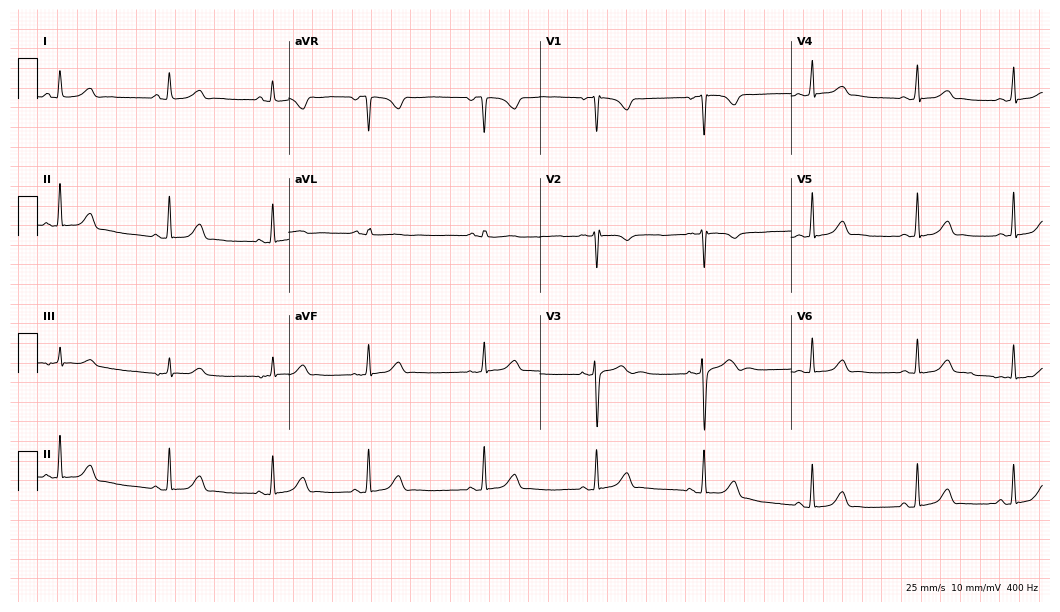
Electrocardiogram (10.2-second recording at 400 Hz), a female patient, 18 years old. Overall reading on record: normal ECG.